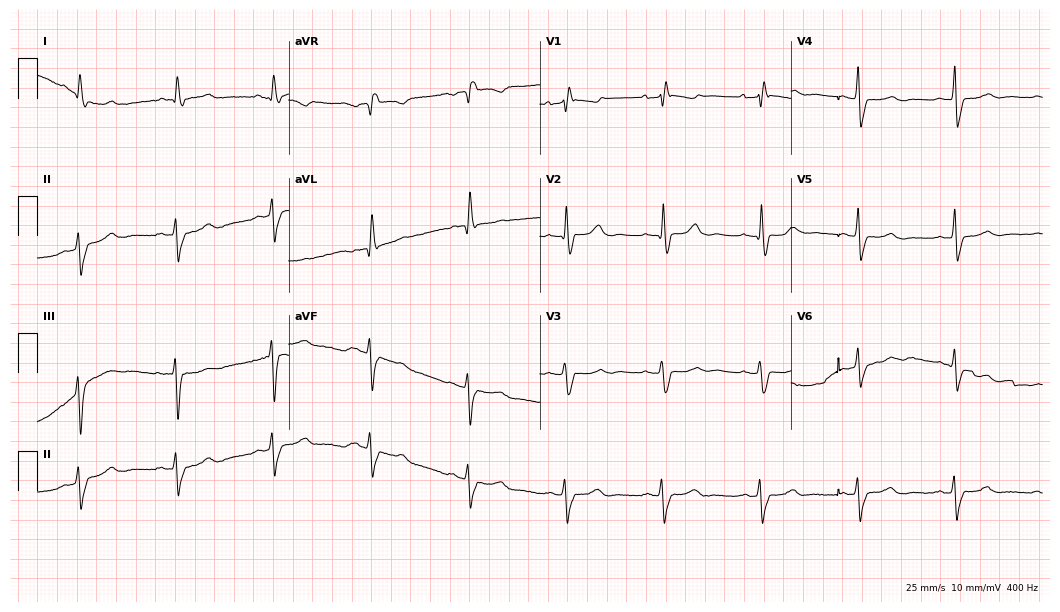
Resting 12-lead electrocardiogram. Patient: a 68-year-old female. The tracing shows right bundle branch block.